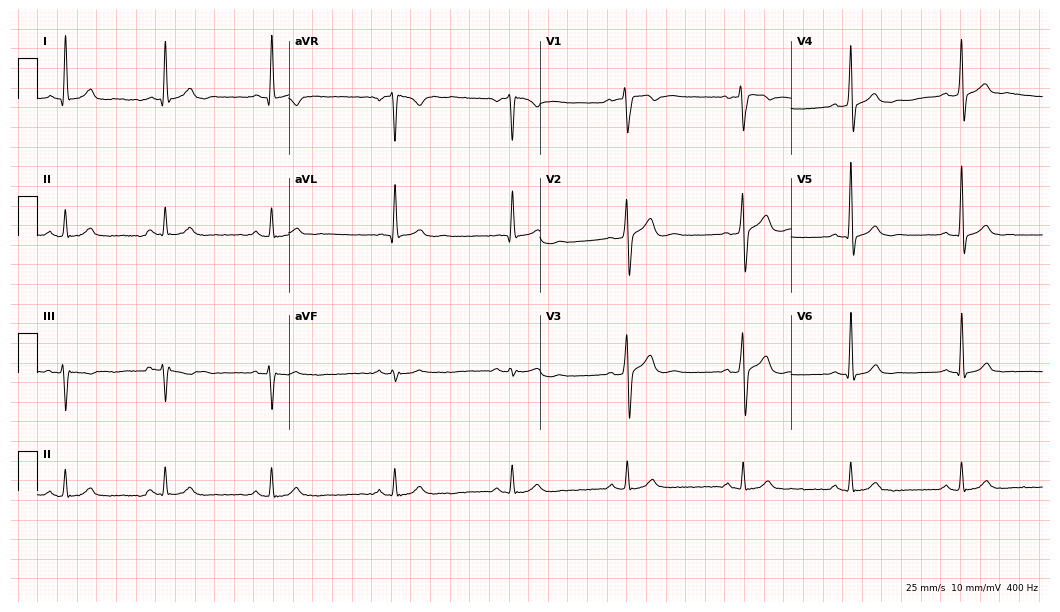
Standard 12-lead ECG recorded from a man, 34 years old (10.2-second recording at 400 Hz). Read as a normal ECG.